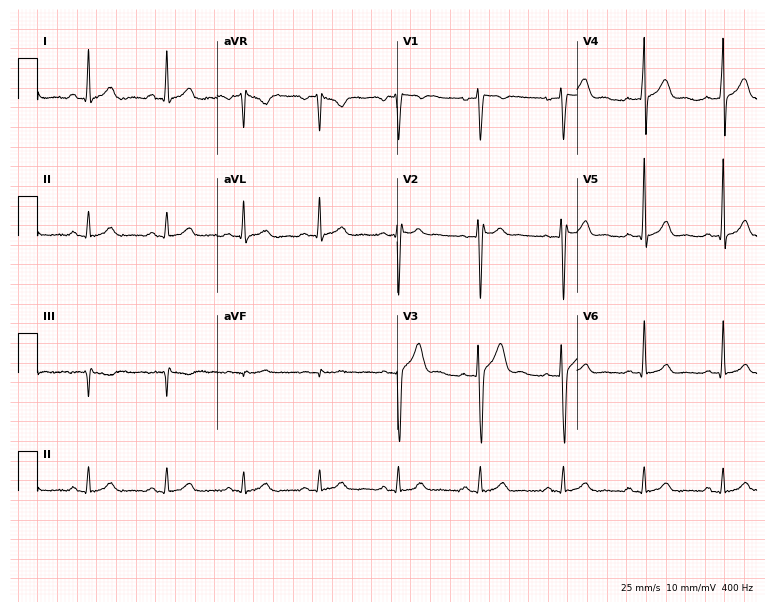
ECG — a 25-year-old man. Labelled as a normal ECG.